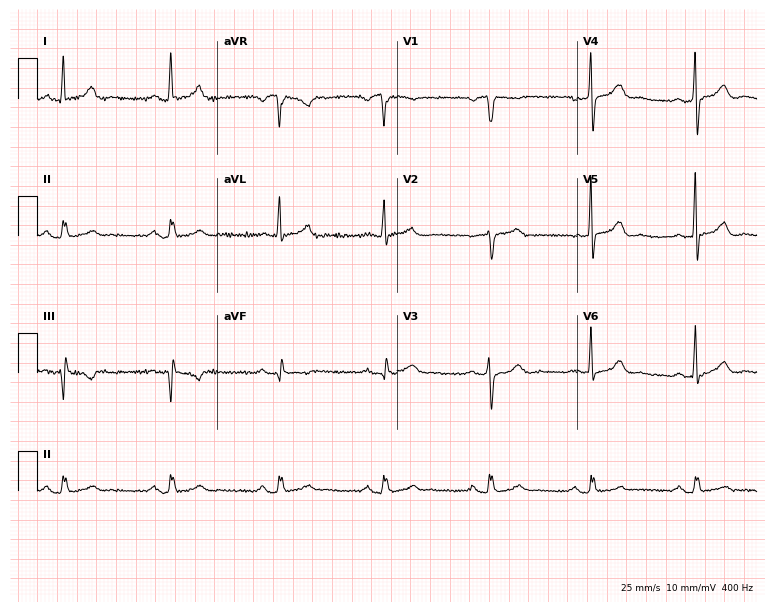
ECG (7.3-second recording at 400 Hz) — a 54-year-old male. Labelled as a normal ECG.